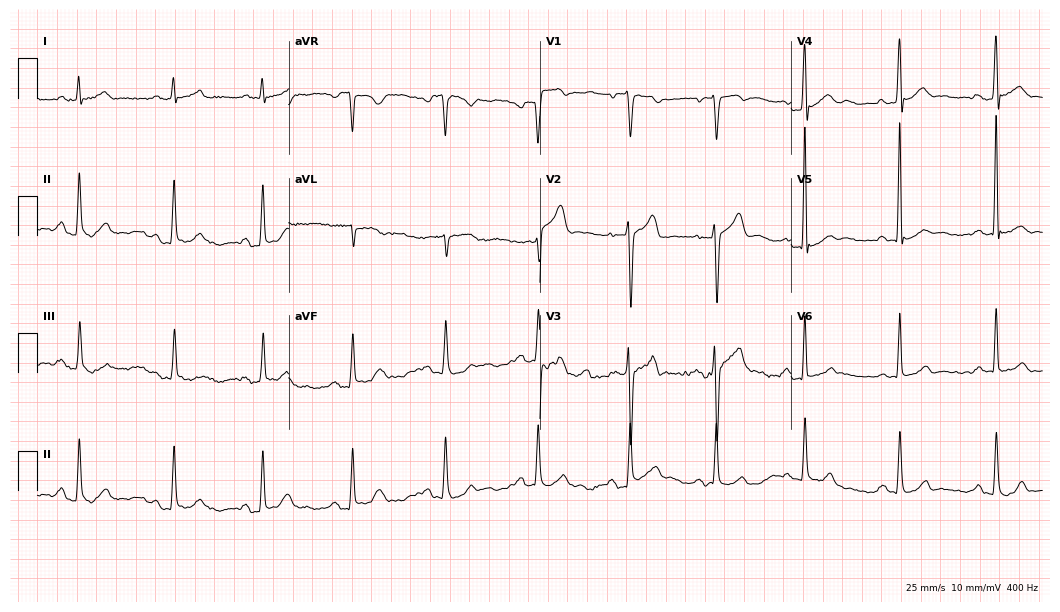
12-lead ECG (10.2-second recording at 400 Hz) from a male, 40 years old. Labelled as a normal ECG.